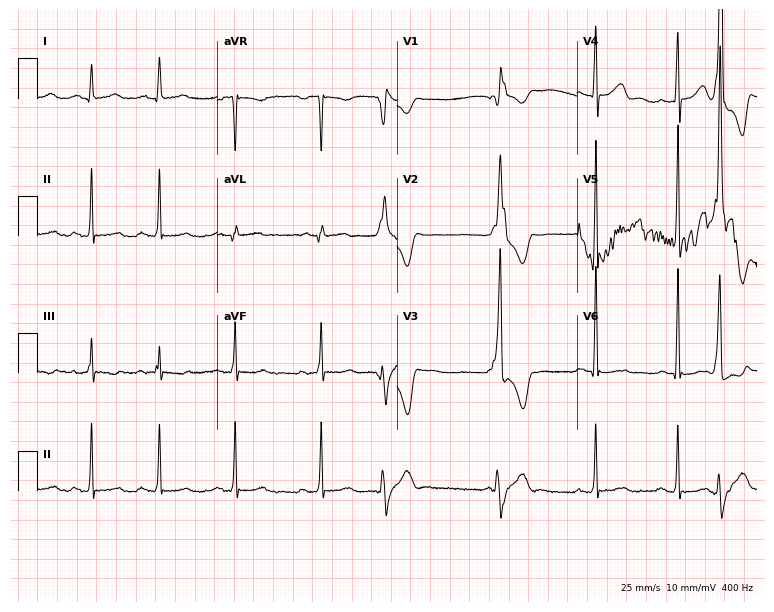
Standard 12-lead ECG recorded from a female, 29 years old (7.3-second recording at 400 Hz). None of these six findings is recorded: first-degree AV block, right bundle branch block, left bundle branch block, sinus bradycardia, atrial fibrillation, sinus tachycardia.